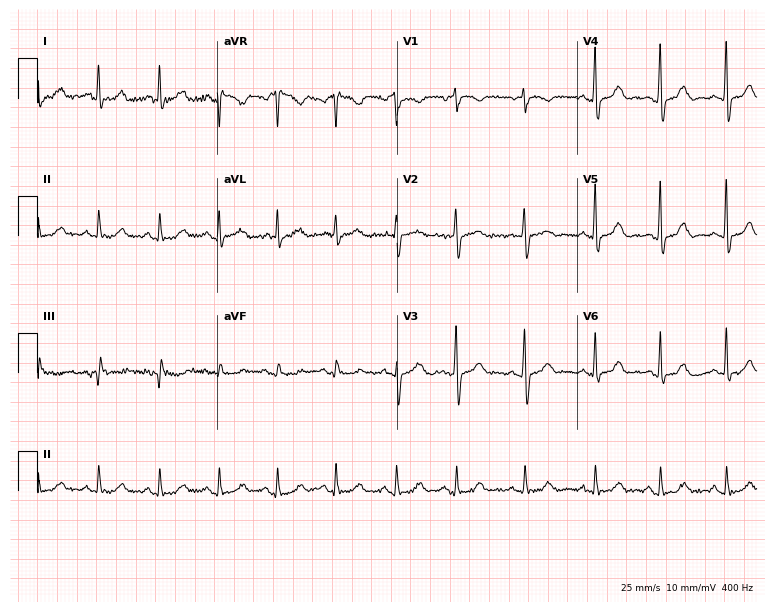
12-lead ECG from a 60-year-old female. Labelled as a normal ECG.